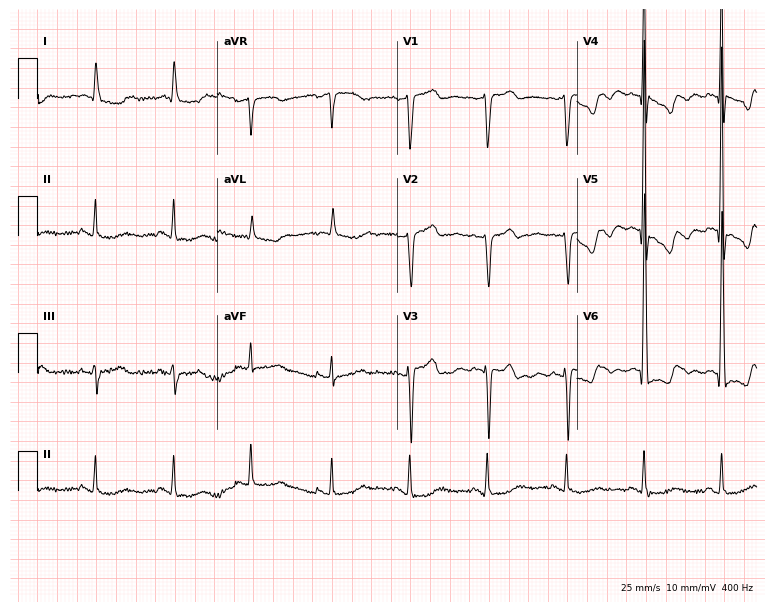
12-lead ECG from a man, 66 years old. Screened for six findings — first-degree AV block, right bundle branch block (RBBB), left bundle branch block (LBBB), sinus bradycardia, atrial fibrillation (AF), sinus tachycardia — none is recorded. Findings outside these six are not listed.